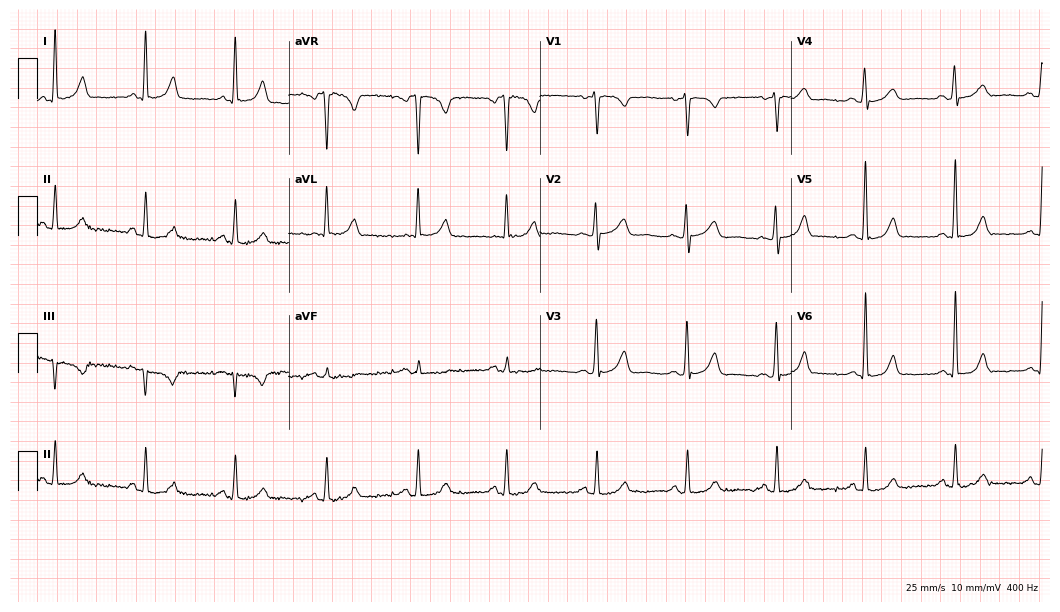
Electrocardiogram, a female, 68 years old. Overall reading on record: normal ECG.